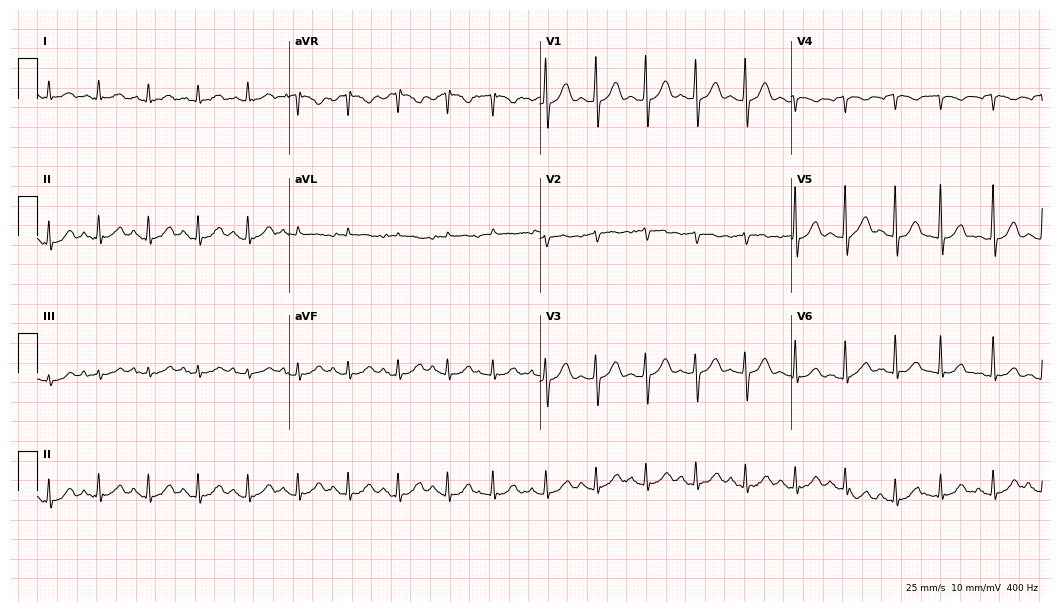
Electrocardiogram (10.2-second recording at 400 Hz), a 79-year-old man. Of the six screened findings (first-degree AV block, right bundle branch block, left bundle branch block, sinus bradycardia, atrial fibrillation, sinus tachycardia), none is recorded. Only these six findings were labelled.